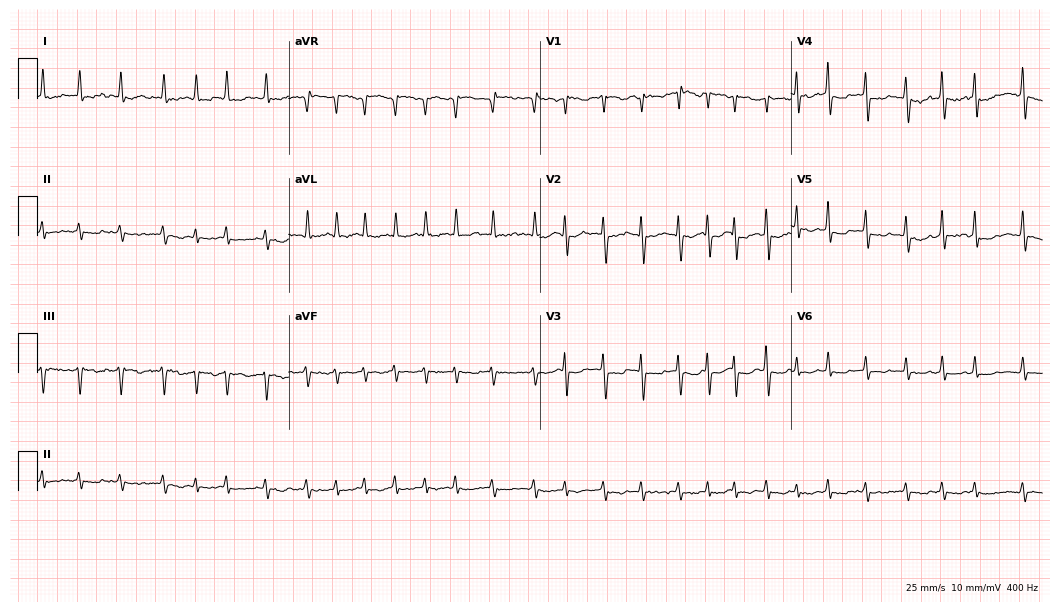
Electrocardiogram, a 78-year-old female patient. Interpretation includes atrial fibrillation (AF).